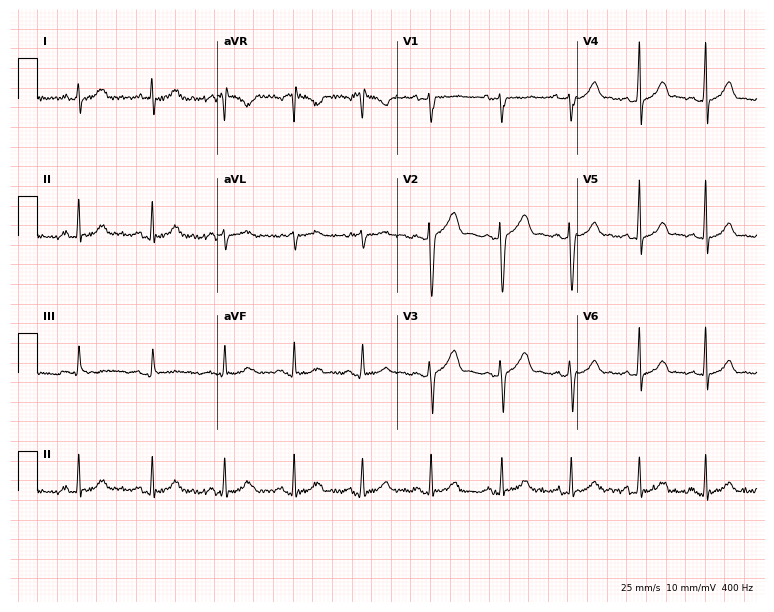
12-lead ECG from a male, 28 years old. Screened for six findings — first-degree AV block, right bundle branch block, left bundle branch block, sinus bradycardia, atrial fibrillation, sinus tachycardia — none is recorded. Findings outside these six are not listed.